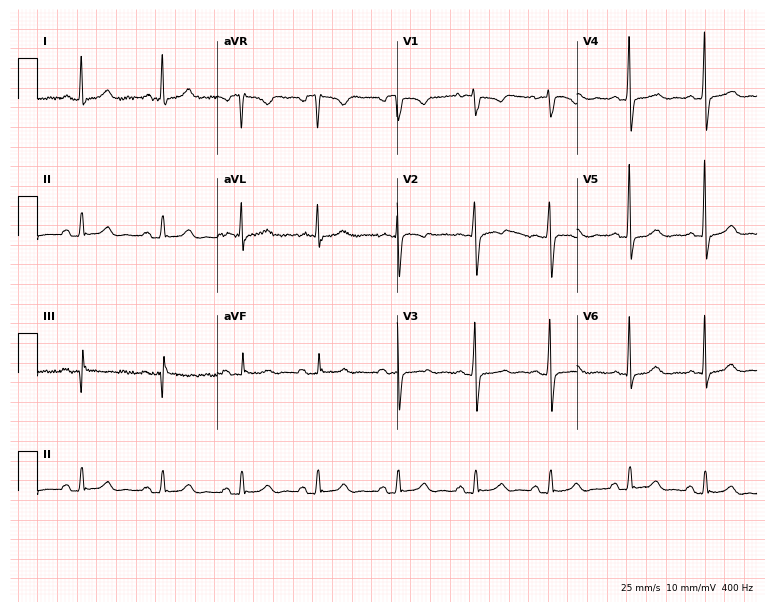
Electrocardiogram (7.3-second recording at 400 Hz), a 32-year-old woman. Of the six screened findings (first-degree AV block, right bundle branch block, left bundle branch block, sinus bradycardia, atrial fibrillation, sinus tachycardia), none is recorded.